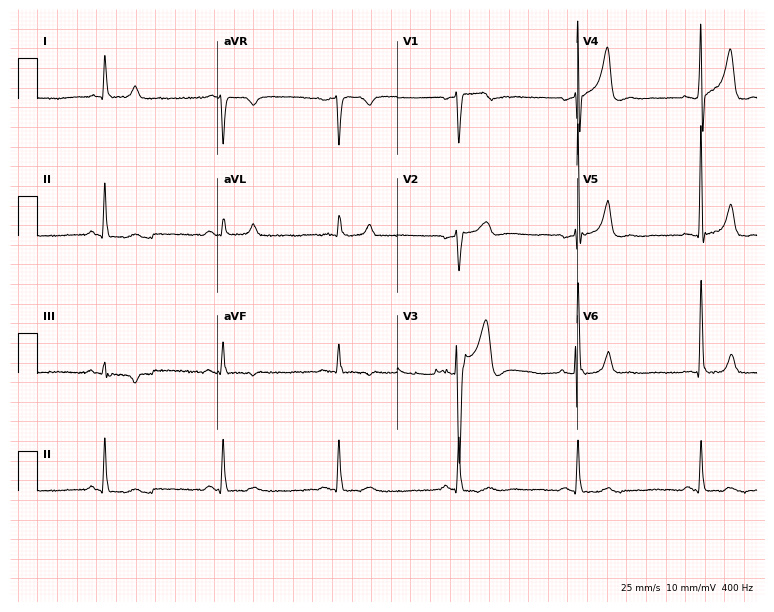
12-lead ECG (7.3-second recording at 400 Hz) from a 65-year-old male patient. Screened for six findings — first-degree AV block, right bundle branch block (RBBB), left bundle branch block (LBBB), sinus bradycardia, atrial fibrillation (AF), sinus tachycardia — none is recorded.